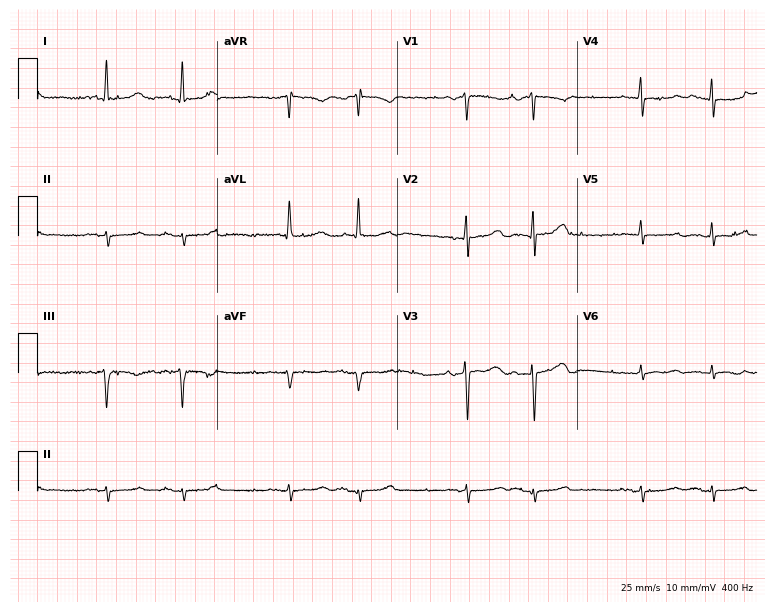
ECG — a female patient, 80 years old. Screened for six findings — first-degree AV block, right bundle branch block (RBBB), left bundle branch block (LBBB), sinus bradycardia, atrial fibrillation (AF), sinus tachycardia — none is recorded.